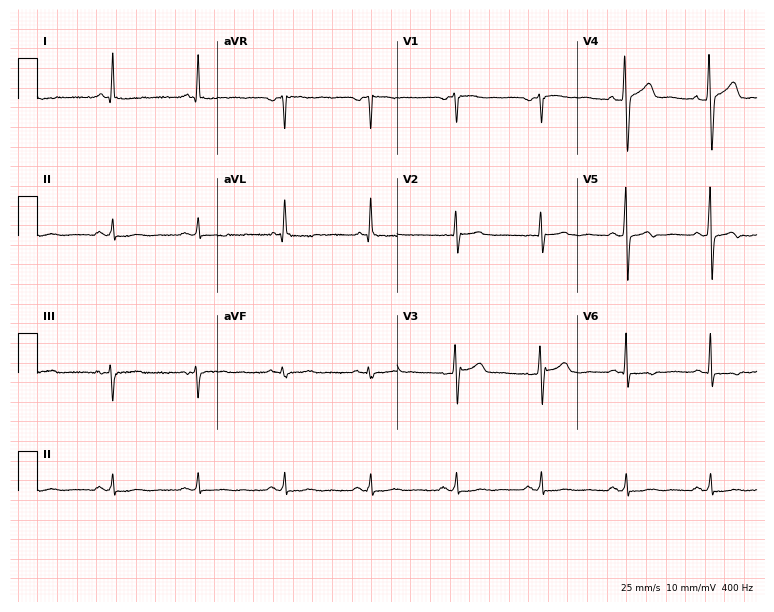
ECG (7.3-second recording at 400 Hz) — a 57-year-old male patient. Screened for six findings — first-degree AV block, right bundle branch block (RBBB), left bundle branch block (LBBB), sinus bradycardia, atrial fibrillation (AF), sinus tachycardia — none is recorded. Findings outside these six are not listed.